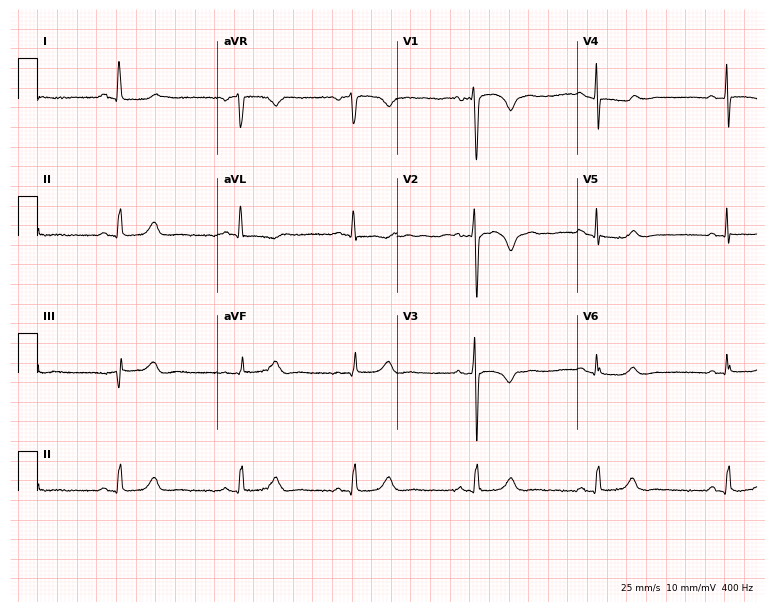
Electrocardiogram (7.3-second recording at 400 Hz), a woman, 56 years old. Overall reading on record: normal ECG.